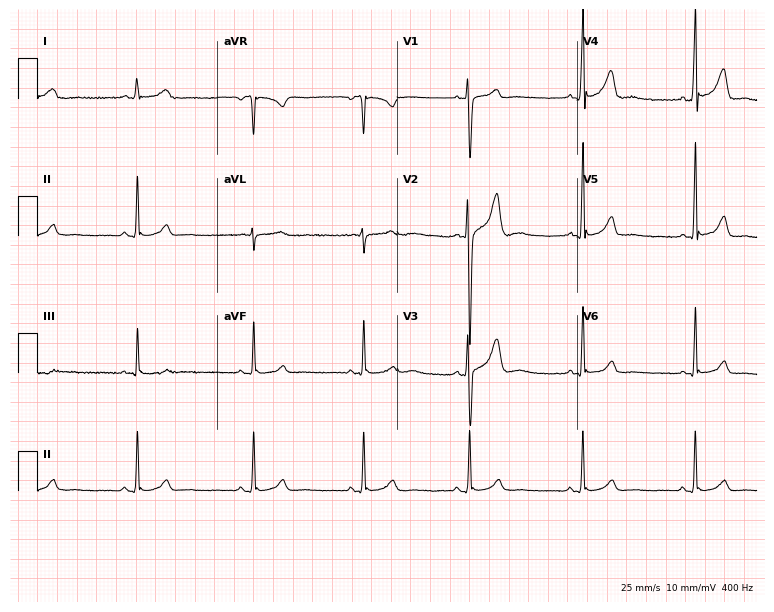
Standard 12-lead ECG recorded from a man, 23 years old. None of these six findings is recorded: first-degree AV block, right bundle branch block, left bundle branch block, sinus bradycardia, atrial fibrillation, sinus tachycardia.